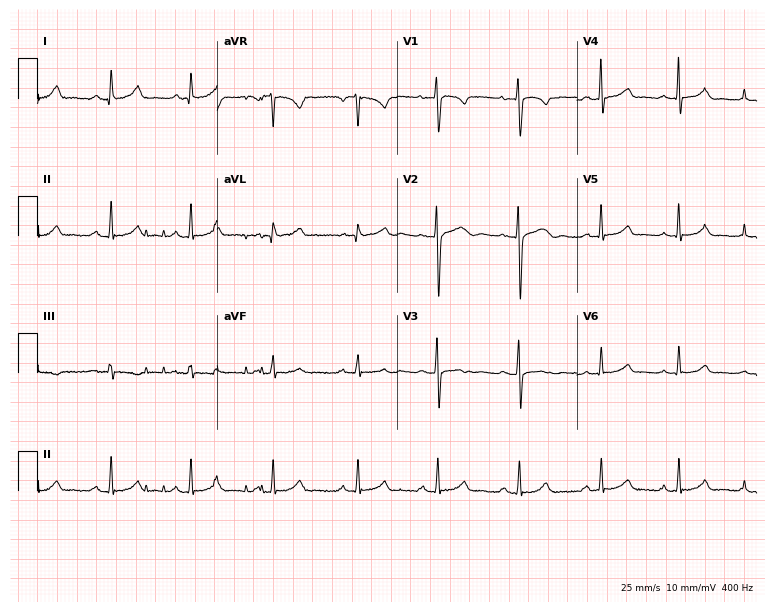
12-lead ECG (7.3-second recording at 400 Hz) from a 38-year-old female patient. Labelled as a normal ECG.